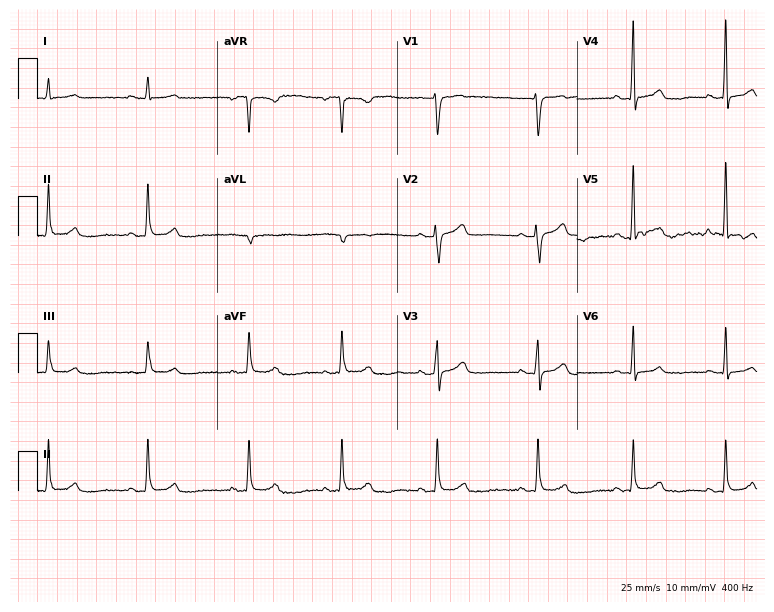
12-lead ECG from a 50-year-old woman. Labelled as a normal ECG.